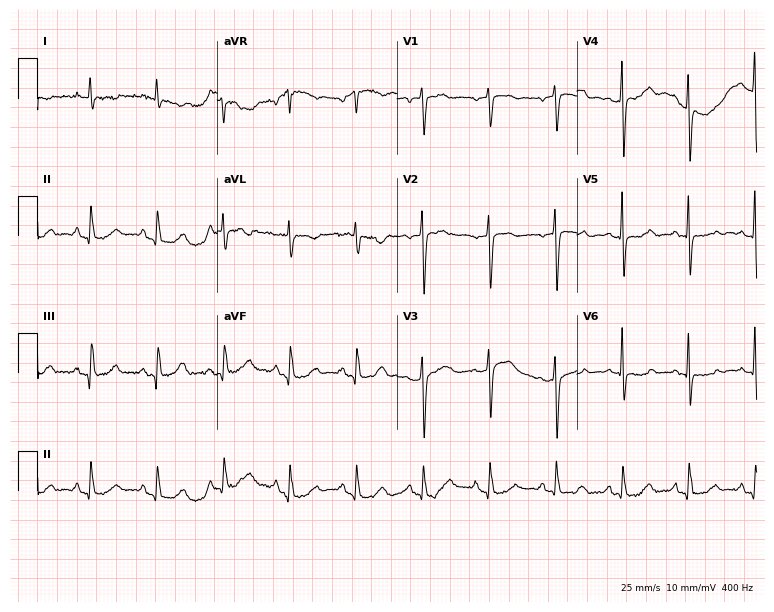
Electrocardiogram, a female patient, 81 years old. Of the six screened findings (first-degree AV block, right bundle branch block, left bundle branch block, sinus bradycardia, atrial fibrillation, sinus tachycardia), none is recorded.